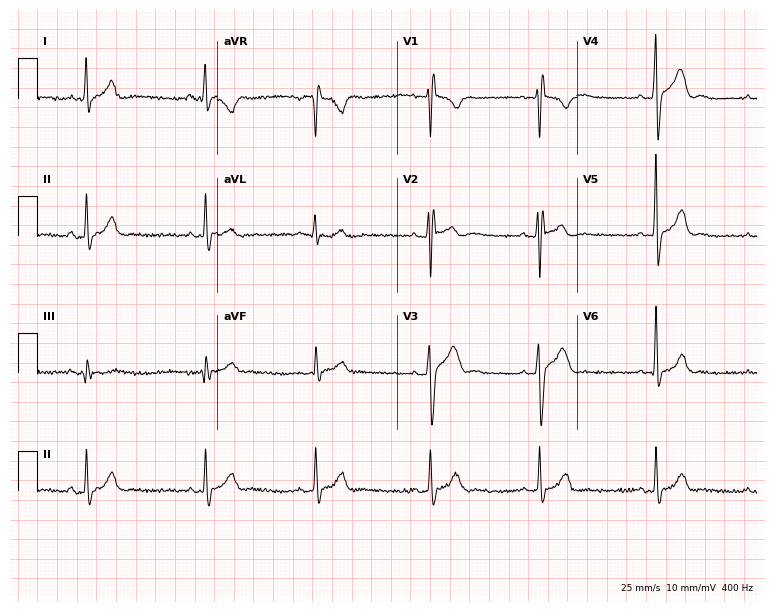
Resting 12-lead electrocardiogram (7.3-second recording at 400 Hz). Patient: a man, 22 years old. None of these six findings is recorded: first-degree AV block, right bundle branch block, left bundle branch block, sinus bradycardia, atrial fibrillation, sinus tachycardia. Other findings, if any, are not listed.